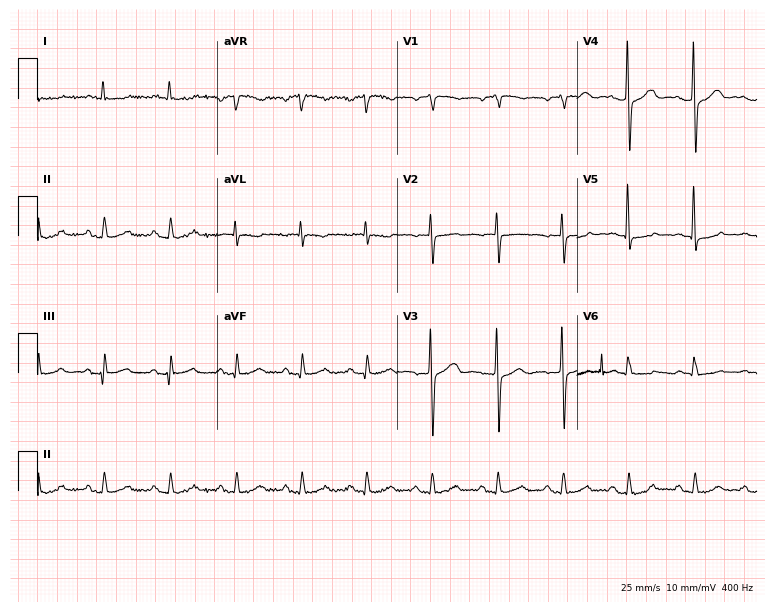
Standard 12-lead ECG recorded from a 68-year-old woman (7.3-second recording at 400 Hz). None of these six findings is recorded: first-degree AV block, right bundle branch block (RBBB), left bundle branch block (LBBB), sinus bradycardia, atrial fibrillation (AF), sinus tachycardia.